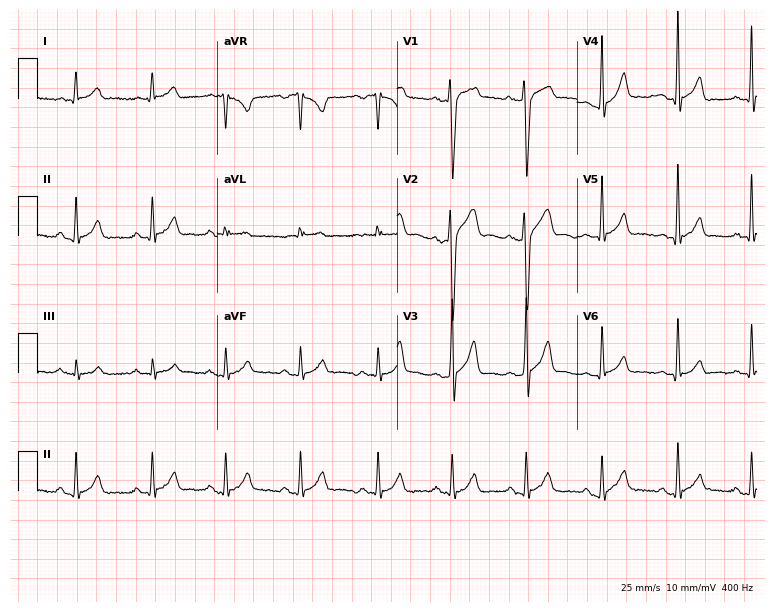
ECG (7.3-second recording at 400 Hz) — a 22-year-old male. Screened for six findings — first-degree AV block, right bundle branch block, left bundle branch block, sinus bradycardia, atrial fibrillation, sinus tachycardia — none is recorded. Only these six findings were labelled.